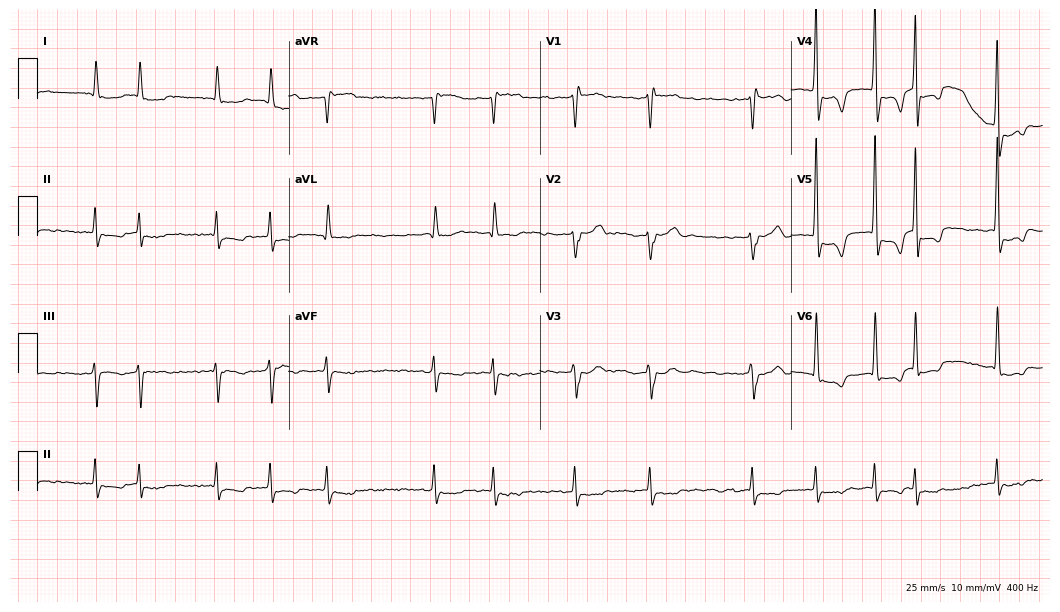
ECG — an 85-year-old male patient. Findings include atrial fibrillation (AF).